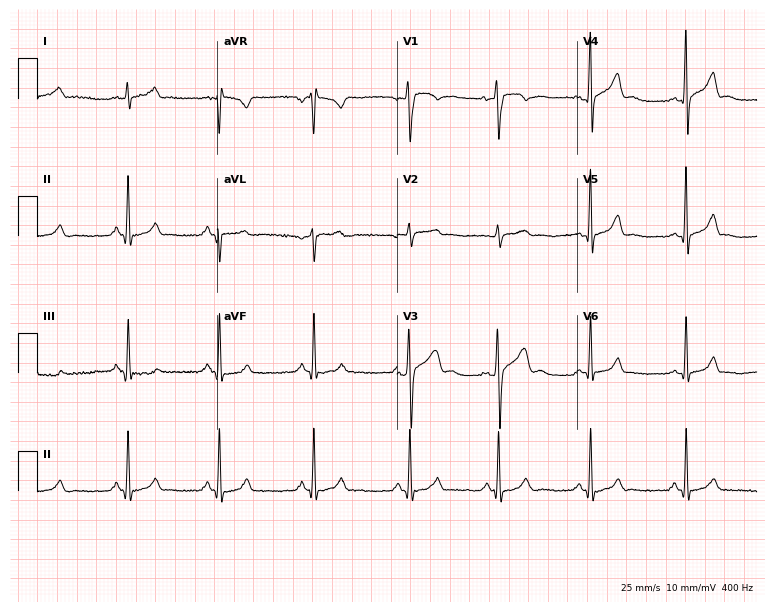
Resting 12-lead electrocardiogram. Patient: a 24-year-old man. None of these six findings is recorded: first-degree AV block, right bundle branch block, left bundle branch block, sinus bradycardia, atrial fibrillation, sinus tachycardia. Findings outside these six are not listed.